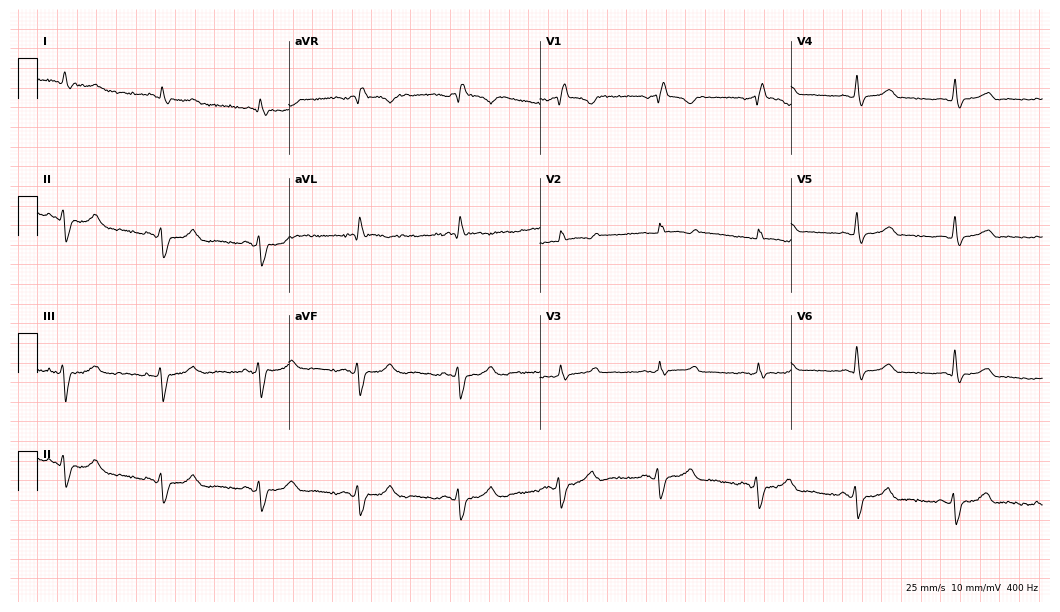
Standard 12-lead ECG recorded from a man, 60 years old. The tracing shows right bundle branch block.